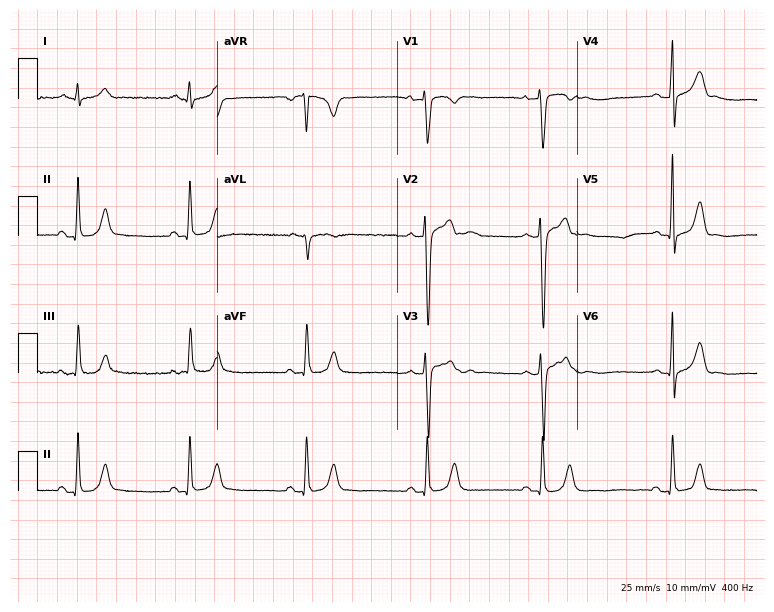
12-lead ECG (7.3-second recording at 400 Hz) from a man, 24 years old. Screened for six findings — first-degree AV block, right bundle branch block, left bundle branch block, sinus bradycardia, atrial fibrillation, sinus tachycardia — none is recorded.